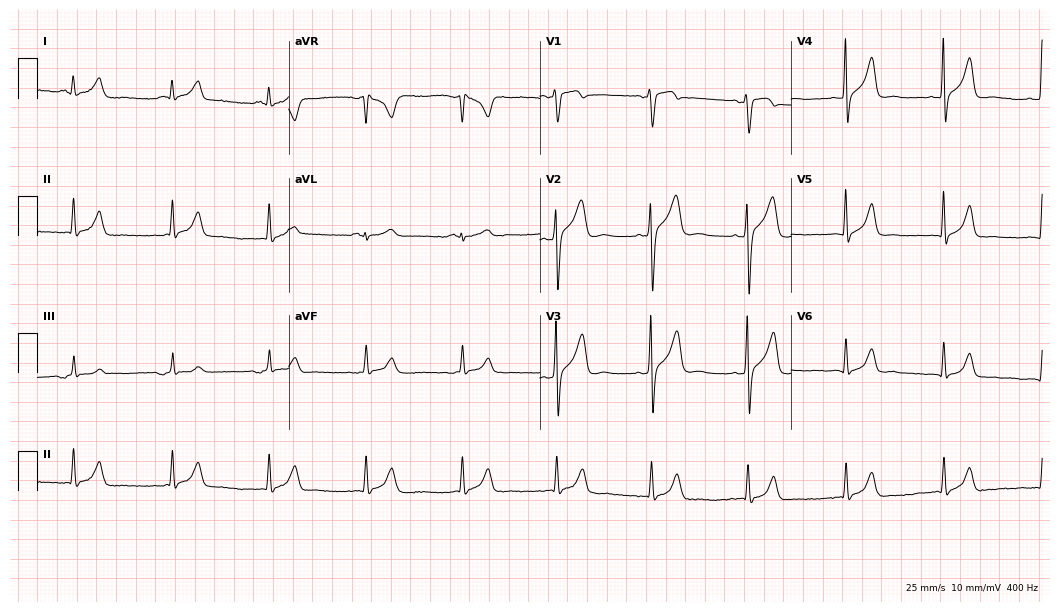
Resting 12-lead electrocardiogram. Patient: a male, 53 years old. Read as a normal ECG.